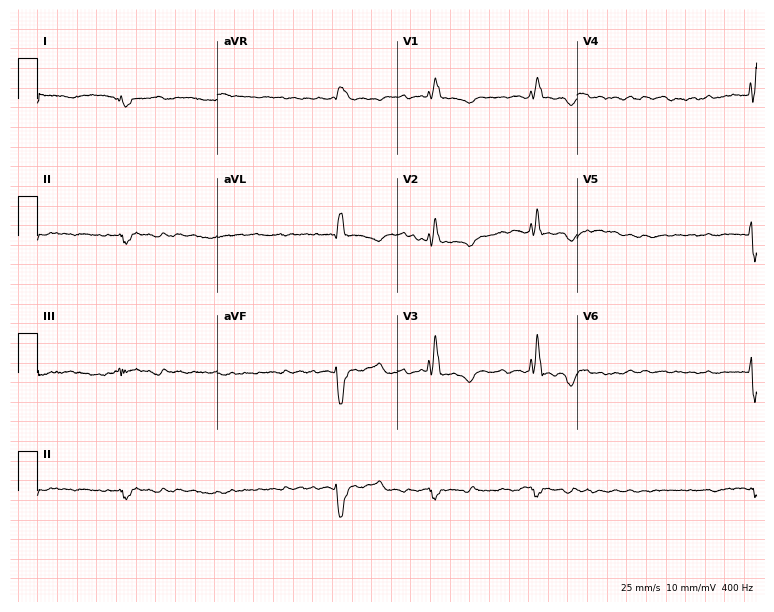
12-lead ECG from a man, 72 years old. Shows right bundle branch block (RBBB), atrial fibrillation (AF).